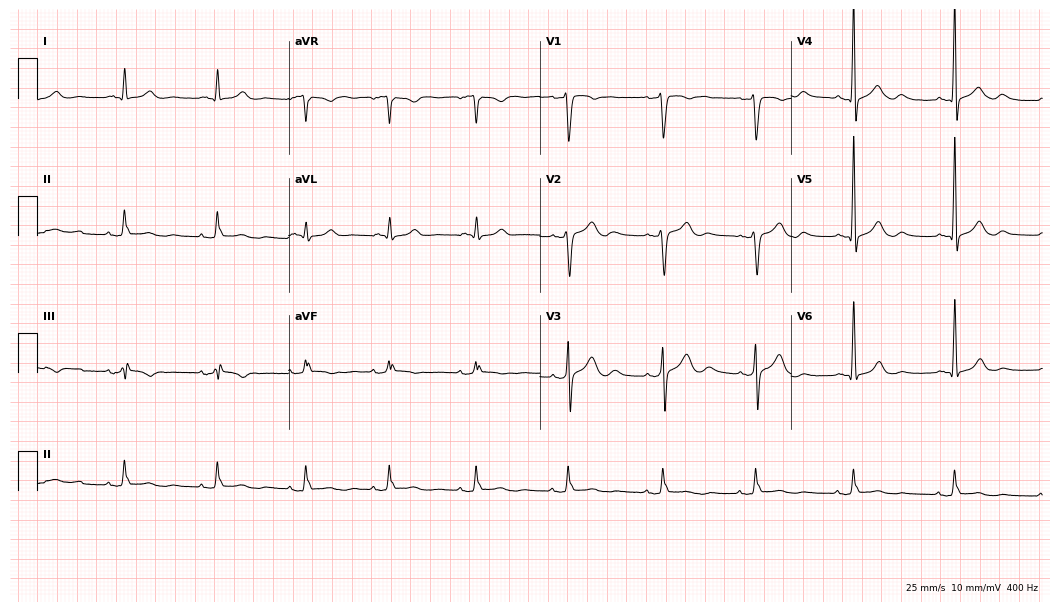
12-lead ECG (10.2-second recording at 400 Hz) from a 30-year-old male. Labelled as a normal ECG.